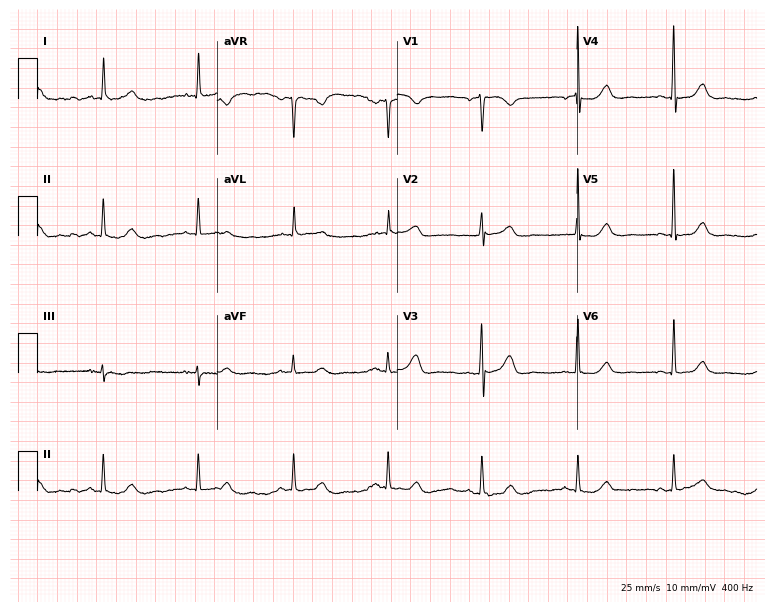
ECG (7.3-second recording at 400 Hz) — a woman, 74 years old. Labelled as a normal ECG.